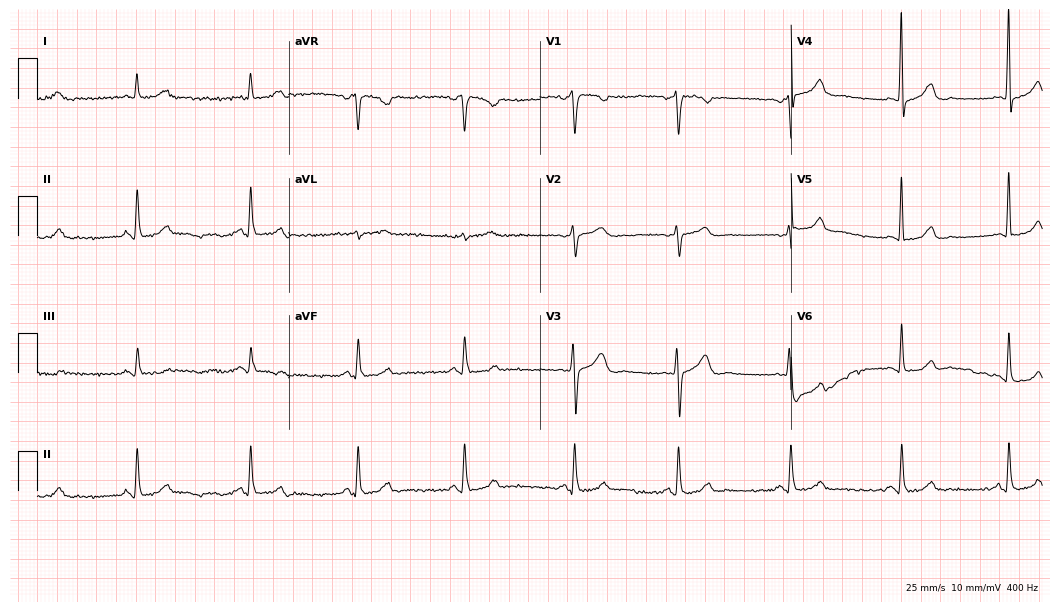
Resting 12-lead electrocardiogram (10.2-second recording at 400 Hz). Patient: a 42-year-old female. None of these six findings is recorded: first-degree AV block, right bundle branch block, left bundle branch block, sinus bradycardia, atrial fibrillation, sinus tachycardia. Only these six findings were labelled.